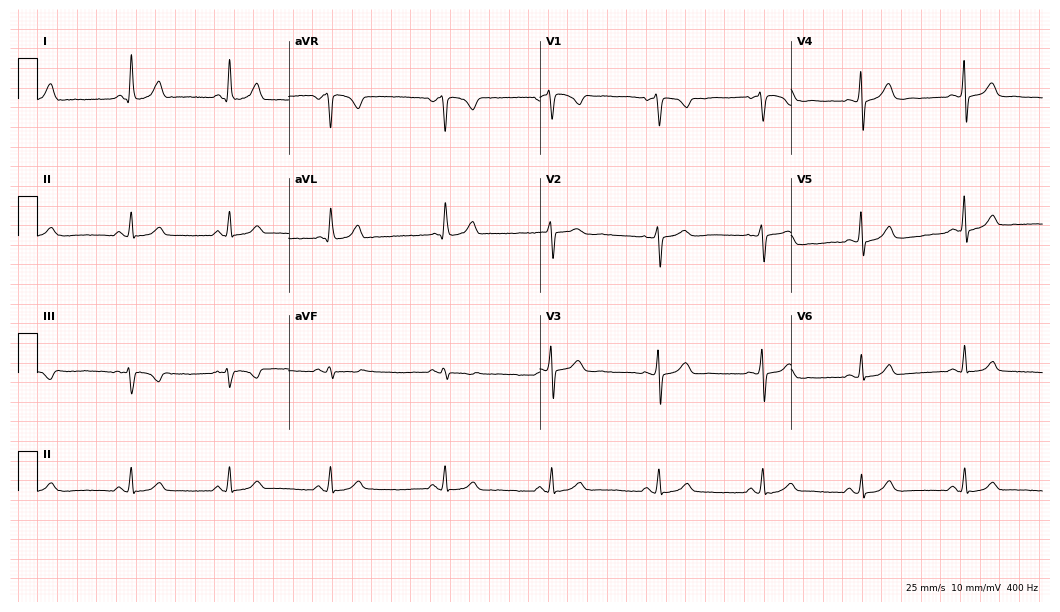
Standard 12-lead ECG recorded from a 45-year-old female patient. Read as a normal ECG.